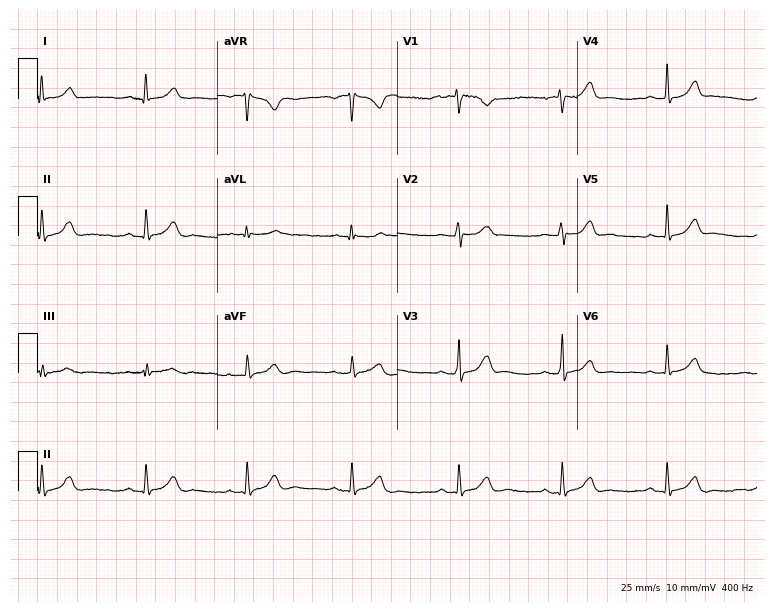
12-lead ECG (7.3-second recording at 400 Hz) from a woman, 45 years old. Screened for six findings — first-degree AV block, right bundle branch block, left bundle branch block, sinus bradycardia, atrial fibrillation, sinus tachycardia — none is recorded.